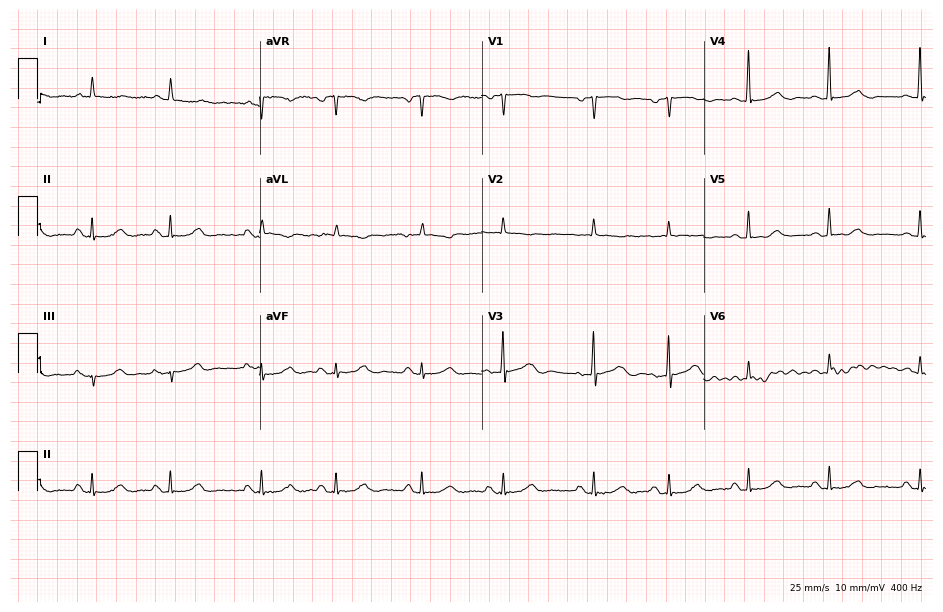
Electrocardiogram (9.1-second recording at 400 Hz), a female patient, 85 years old. Of the six screened findings (first-degree AV block, right bundle branch block, left bundle branch block, sinus bradycardia, atrial fibrillation, sinus tachycardia), none is recorded. Findings outside these six are not listed.